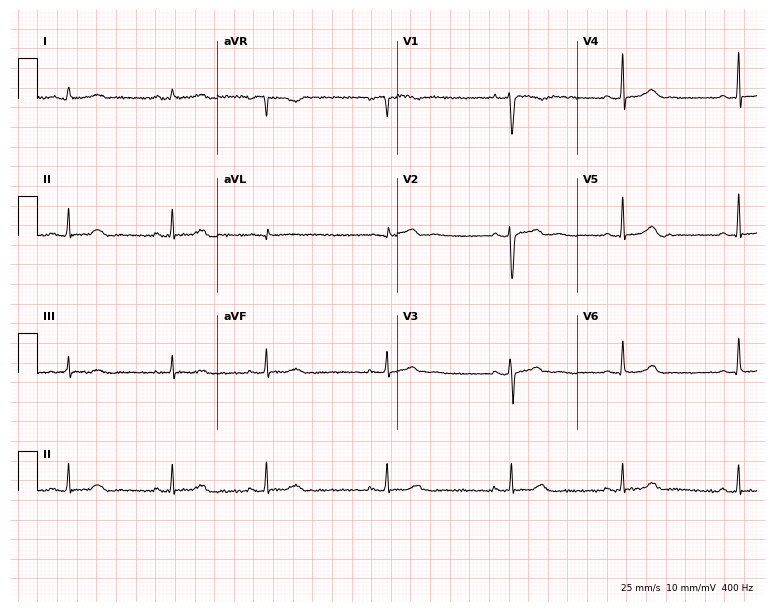
Resting 12-lead electrocardiogram. Patient: a female, 33 years old. None of these six findings is recorded: first-degree AV block, right bundle branch block (RBBB), left bundle branch block (LBBB), sinus bradycardia, atrial fibrillation (AF), sinus tachycardia.